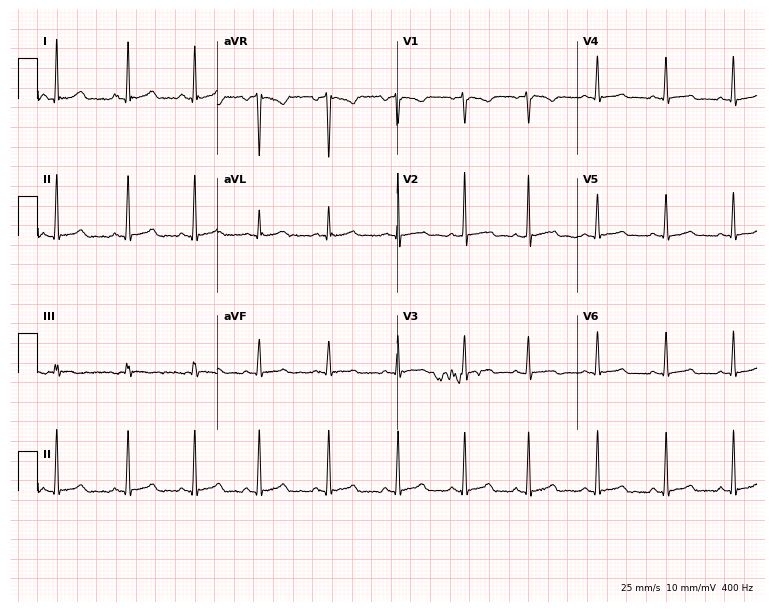
12-lead ECG from a 28-year-old female (7.3-second recording at 400 Hz). Recorded interpretation: within normal limits.